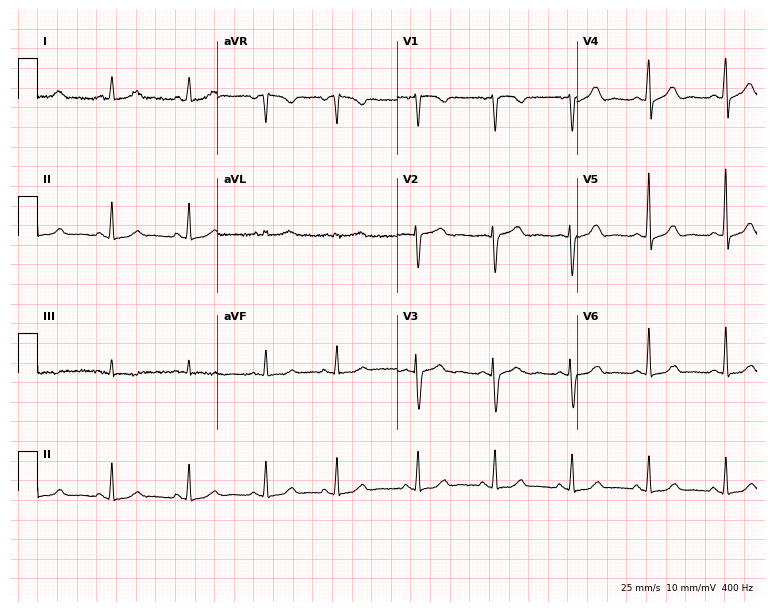
Electrocardiogram (7.3-second recording at 400 Hz), a woman, 63 years old. Overall reading on record: normal ECG.